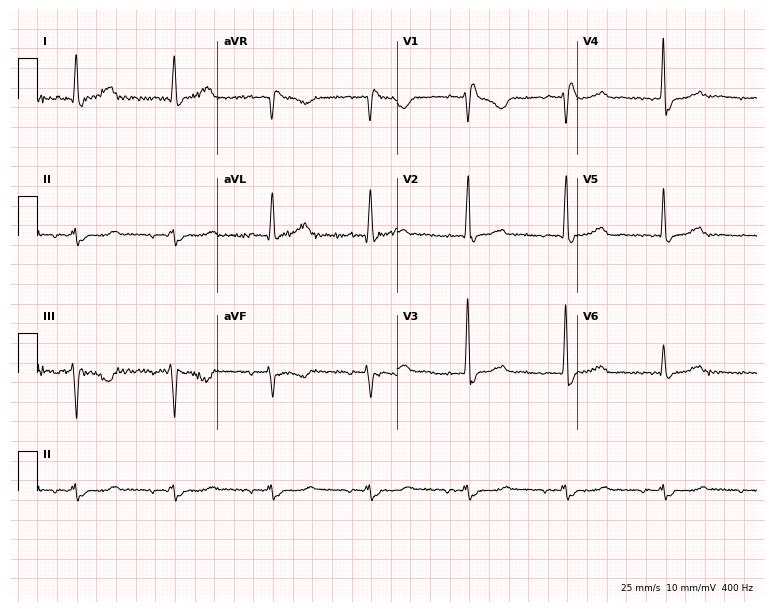
12-lead ECG from a man, 68 years old (7.3-second recording at 400 Hz). No first-degree AV block, right bundle branch block (RBBB), left bundle branch block (LBBB), sinus bradycardia, atrial fibrillation (AF) or sinus tachycardia recorded for this tracing.